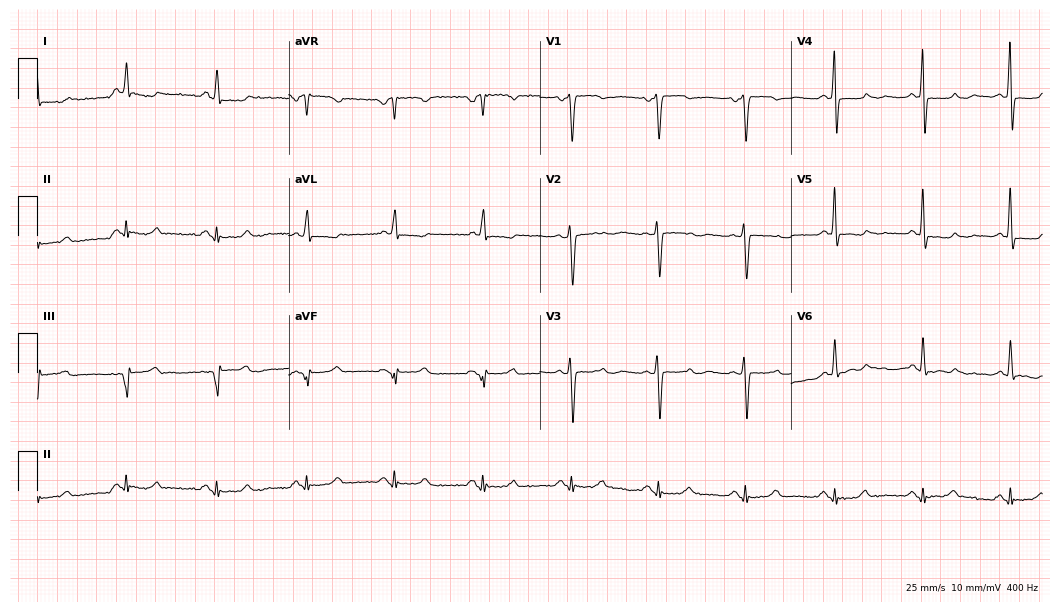
12-lead ECG from a female, 49 years old. No first-degree AV block, right bundle branch block (RBBB), left bundle branch block (LBBB), sinus bradycardia, atrial fibrillation (AF) or sinus tachycardia recorded for this tracing.